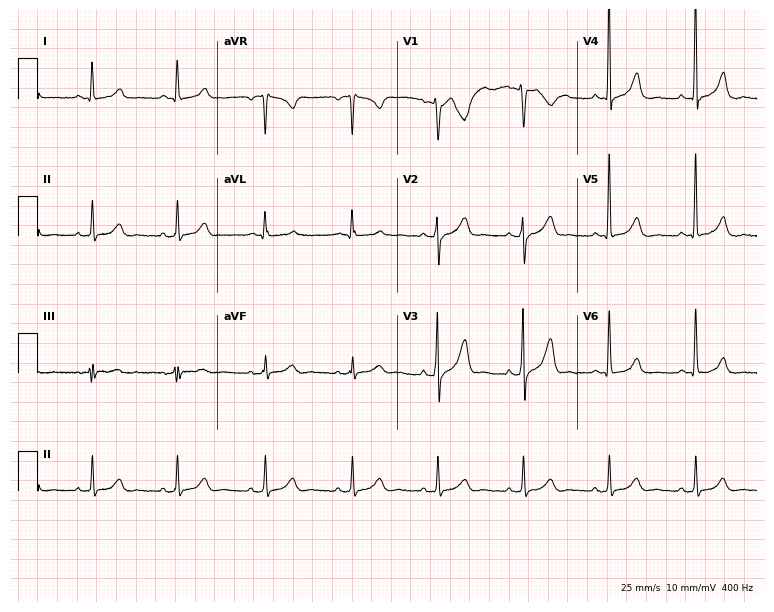
12-lead ECG (7.3-second recording at 400 Hz) from a 52-year-old female. Labelled as a normal ECG.